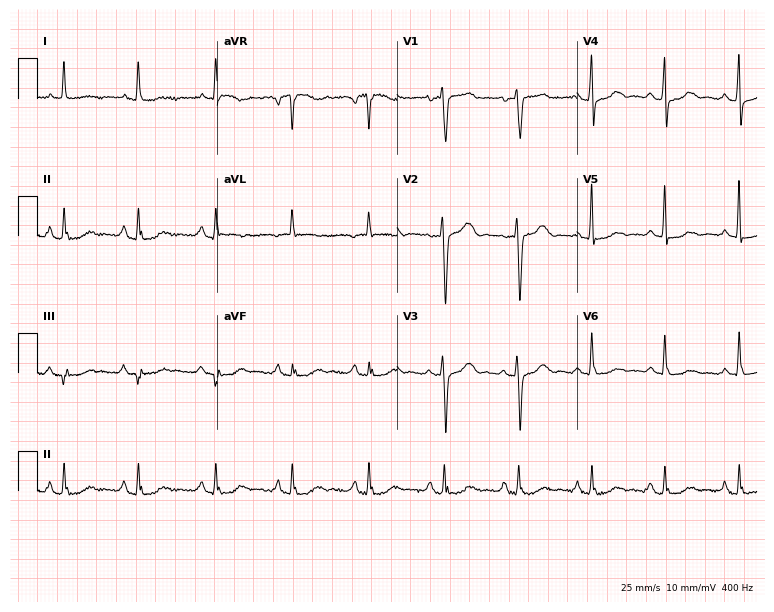
ECG — a female, 80 years old. Labelled as a normal ECG.